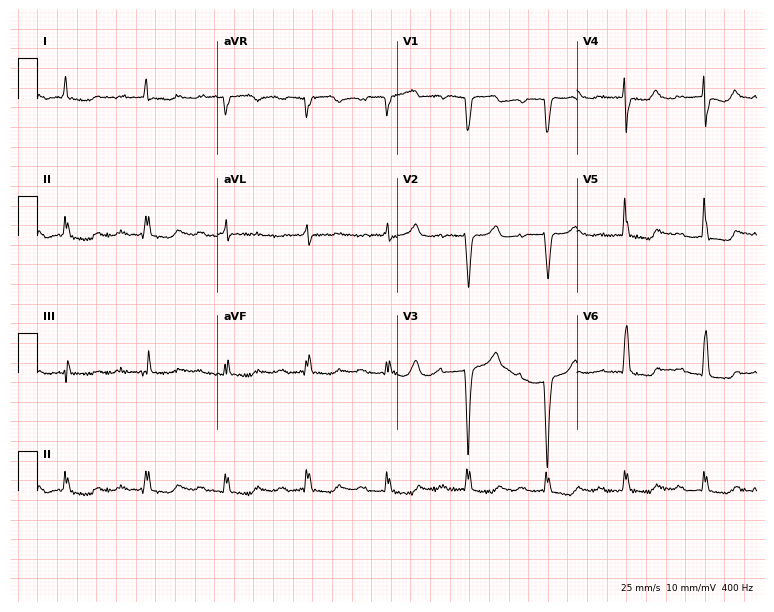
Electrocardiogram, a woman, 85 years old. Interpretation includes first-degree AV block.